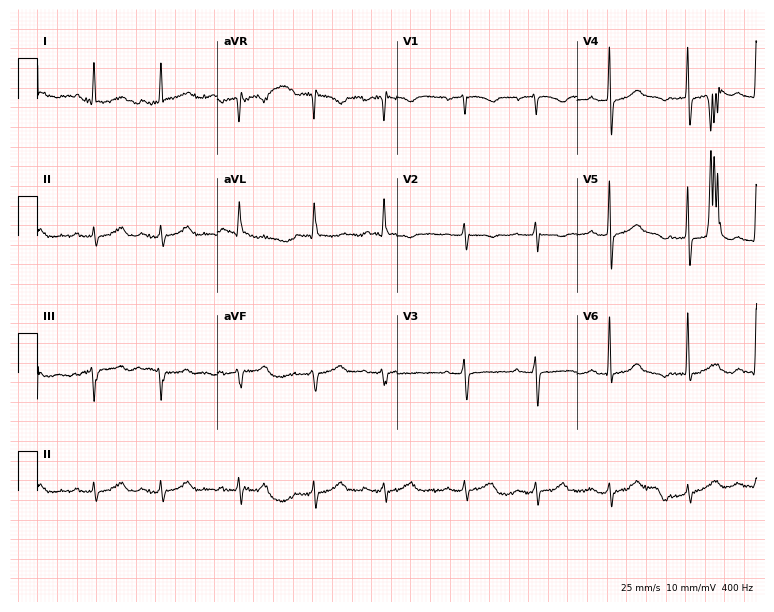
Standard 12-lead ECG recorded from a 79-year-old female patient (7.3-second recording at 400 Hz). None of these six findings is recorded: first-degree AV block, right bundle branch block (RBBB), left bundle branch block (LBBB), sinus bradycardia, atrial fibrillation (AF), sinus tachycardia.